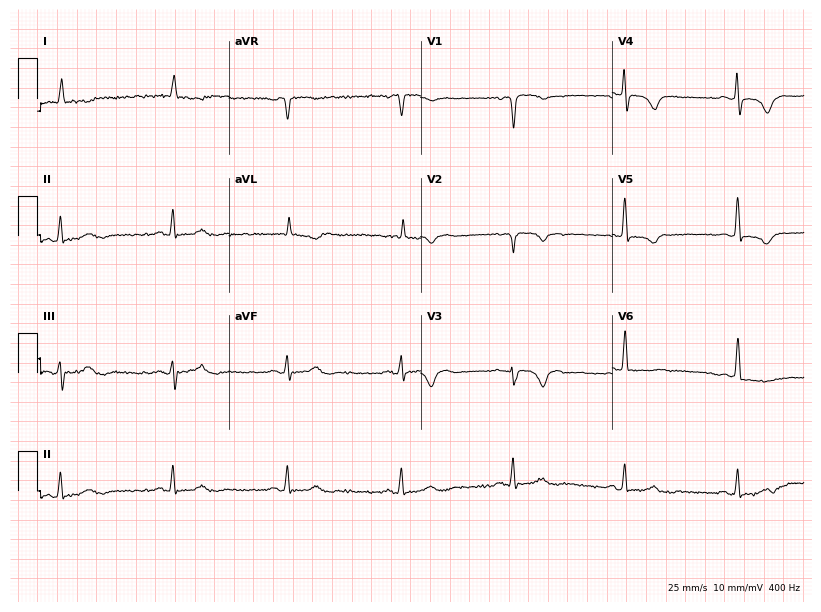
ECG (7.8-second recording at 400 Hz) — a man, 77 years old. Screened for six findings — first-degree AV block, right bundle branch block, left bundle branch block, sinus bradycardia, atrial fibrillation, sinus tachycardia — none is recorded. Other findings, if any, are not listed.